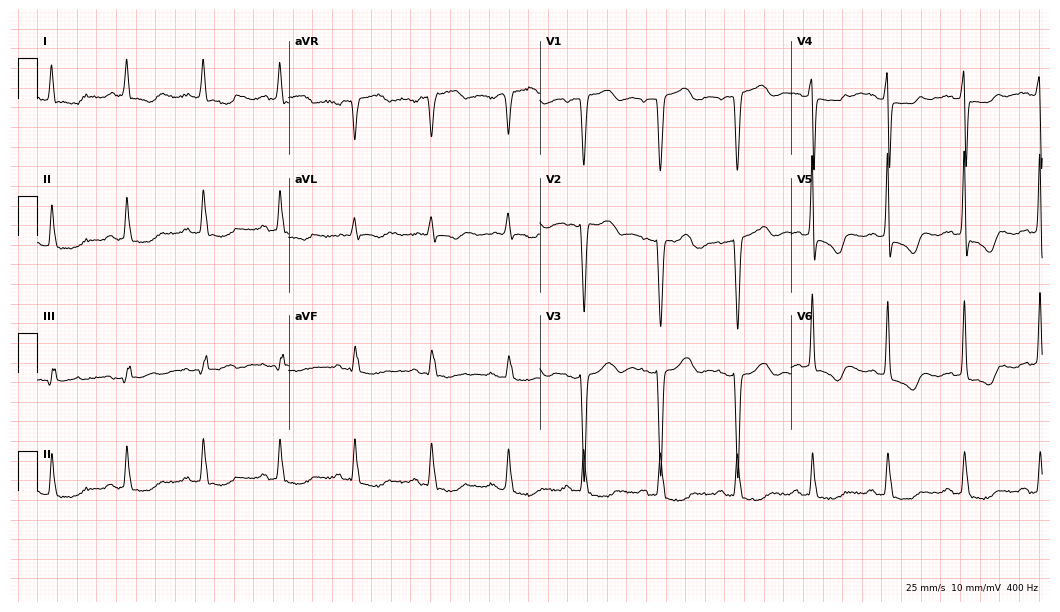
12-lead ECG from a 78-year-old female patient. No first-degree AV block, right bundle branch block (RBBB), left bundle branch block (LBBB), sinus bradycardia, atrial fibrillation (AF) or sinus tachycardia recorded for this tracing.